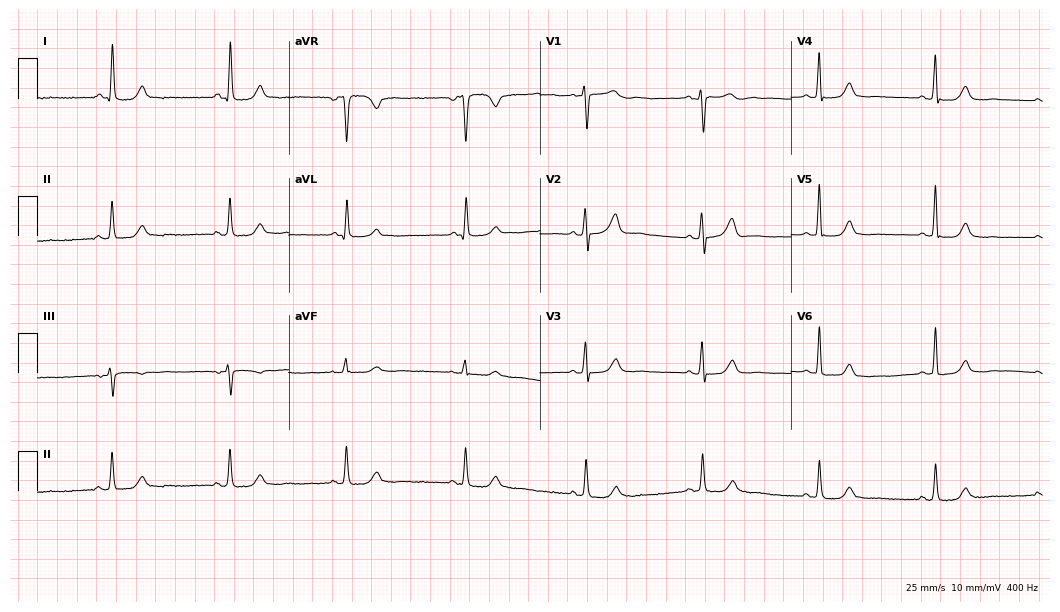
ECG — a 74-year-old woman. Screened for six findings — first-degree AV block, right bundle branch block (RBBB), left bundle branch block (LBBB), sinus bradycardia, atrial fibrillation (AF), sinus tachycardia — none is recorded.